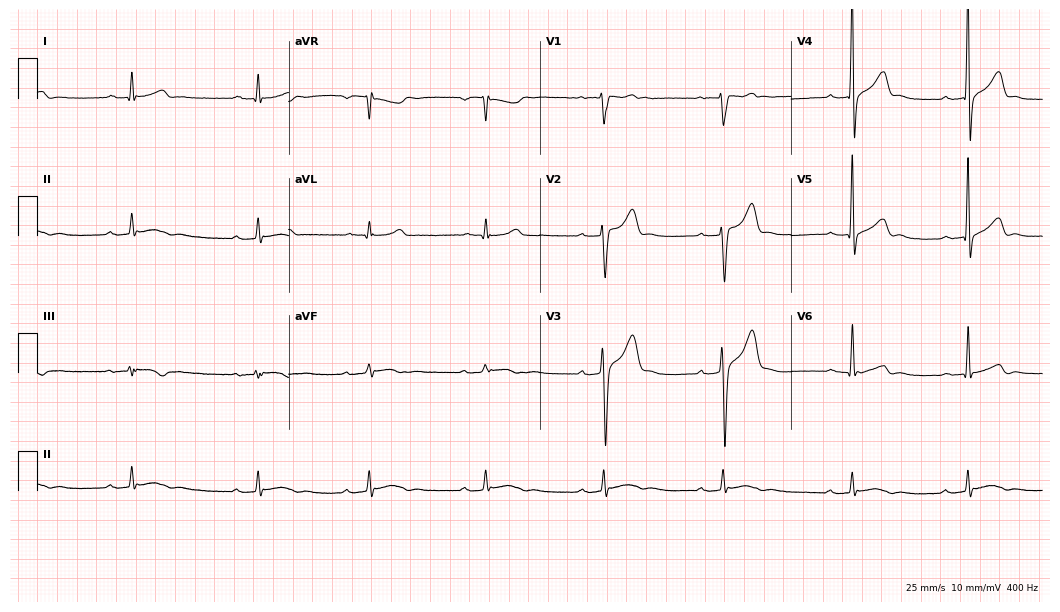
ECG — a 39-year-old male patient. Findings include first-degree AV block, sinus bradycardia (a sinus rate of 50 beats per minute or less).